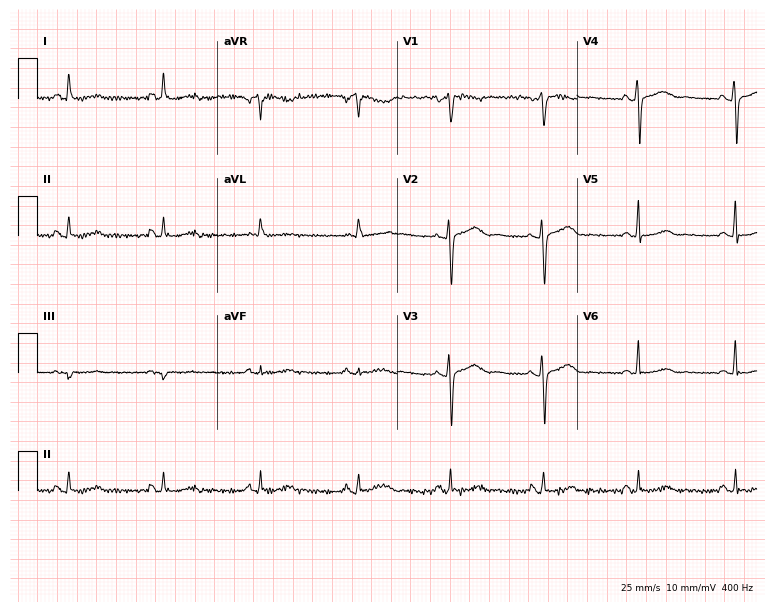
Standard 12-lead ECG recorded from a female, 57 years old (7.3-second recording at 400 Hz). None of these six findings is recorded: first-degree AV block, right bundle branch block, left bundle branch block, sinus bradycardia, atrial fibrillation, sinus tachycardia.